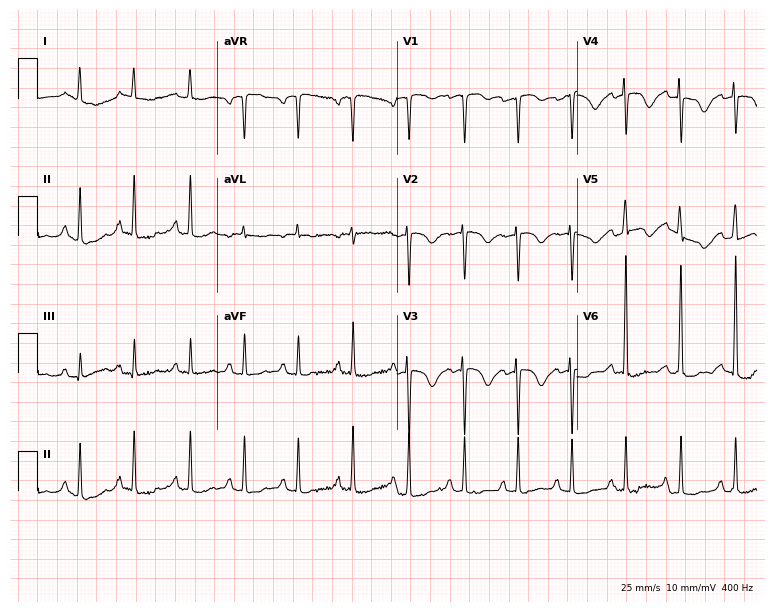
Resting 12-lead electrocardiogram (7.3-second recording at 400 Hz). Patient: a female, 82 years old. The tracing shows sinus tachycardia (a sinus rate of 100 beats per minute or more).